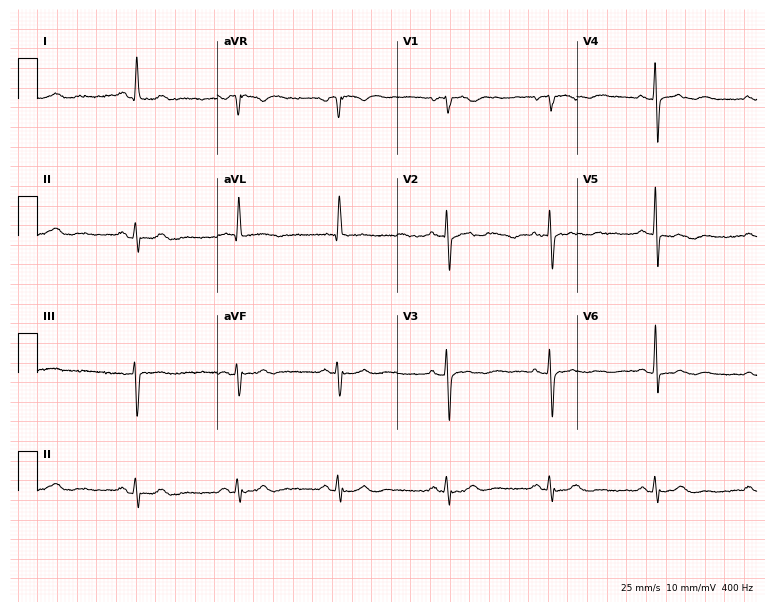
Standard 12-lead ECG recorded from an 81-year-old female. None of these six findings is recorded: first-degree AV block, right bundle branch block, left bundle branch block, sinus bradycardia, atrial fibrillation, sinus tachycardia. Findings outside these six are not listed.